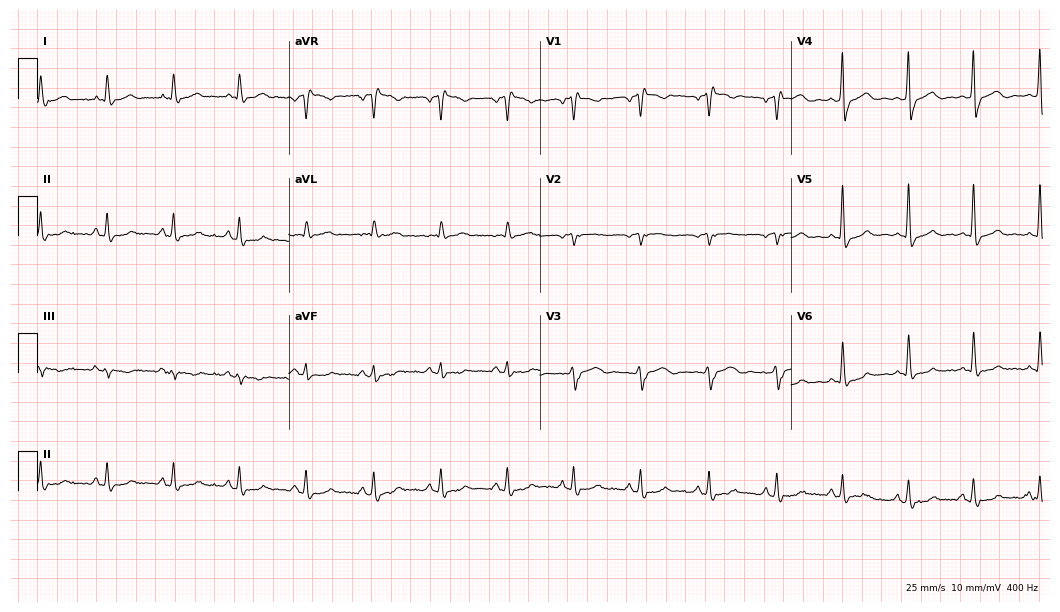
12-lead ECG from a 56-year-old male patient. Screened for six findings — first-degree AV block, right bundle branch block, left bundle branch block, sinus bradycardia, atrial fibrillation, sinus tachycardia — none is recorded.